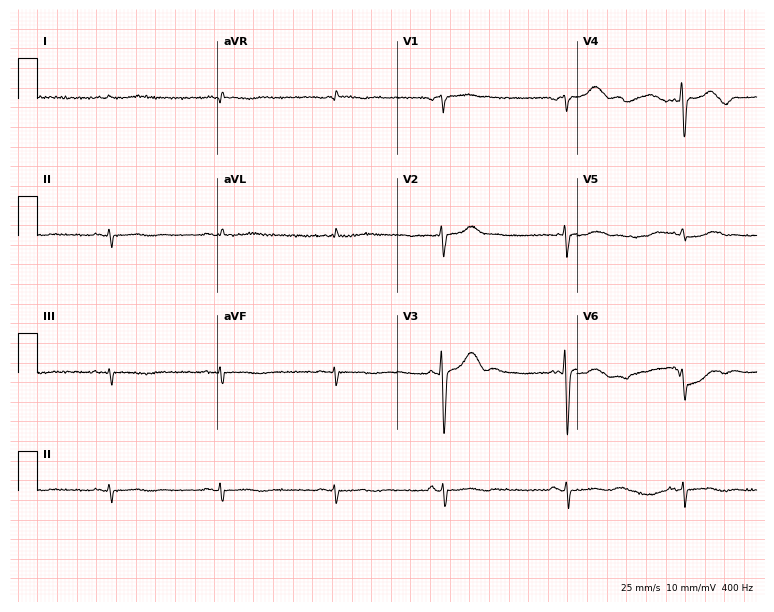
Standard 12-lead ECG recorded from a 79-year-old man. None of these six findings is recorded: first-degree AV block, right bundle branch block (RBBB), left bundle branch block (LBBB), sinus bradycardia, atrial fibrillation (AF), sinus tachycardia. Other findings, if any, are not listed.